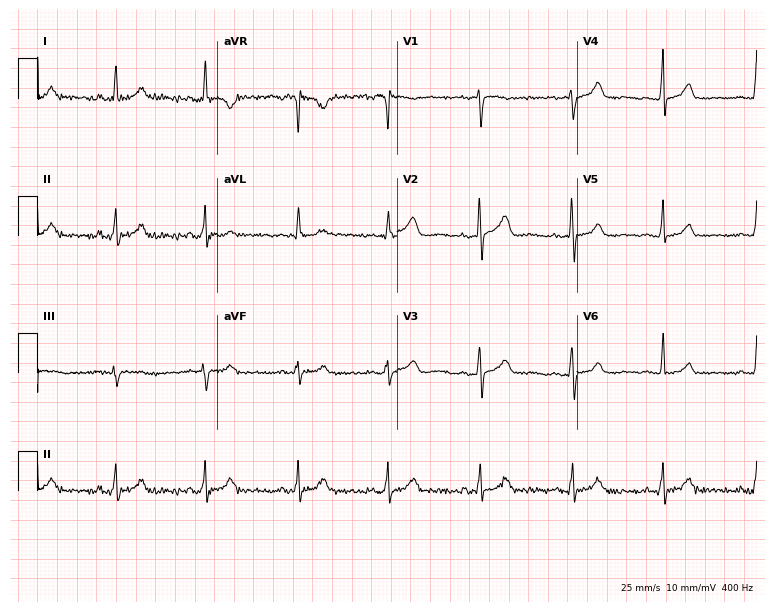
Resting 12-lead electrocardiogram. Patient: a 58-year-old female. None of these six findings is recorded: first-degree AV block, right bundle branch block (RBBB), left bundle branch block (LBBB), sinus bradycardia, atrial fibrillation (AF), sinus tachycardia. Other findings, if any, are not listed.